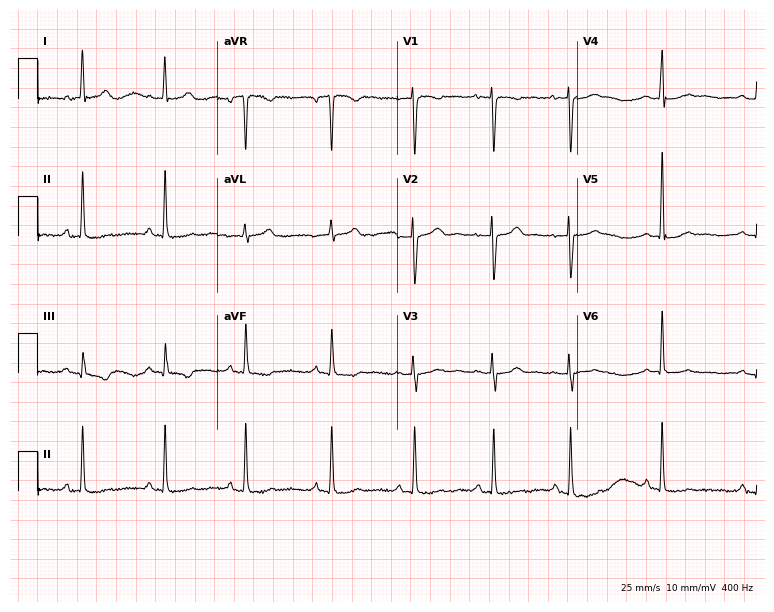
12-lead ECG (7.3-second recording at 400 Hz) from a 44-year-old female patient. Screened for six findings — first-degree AV block, right bundle branch block, left bundle branch block, sinus bradycardia, atrial fibrillation, sinus tachycardia — none is recorded.